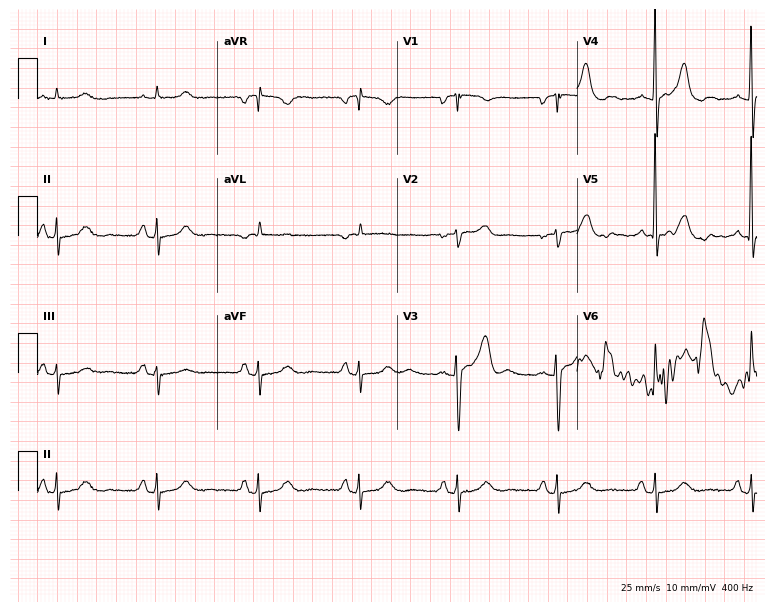
12-lead ECG from a man, 70 years old (7.3-second recording at 400 Hz). Recorded interpretation: within normal limits.